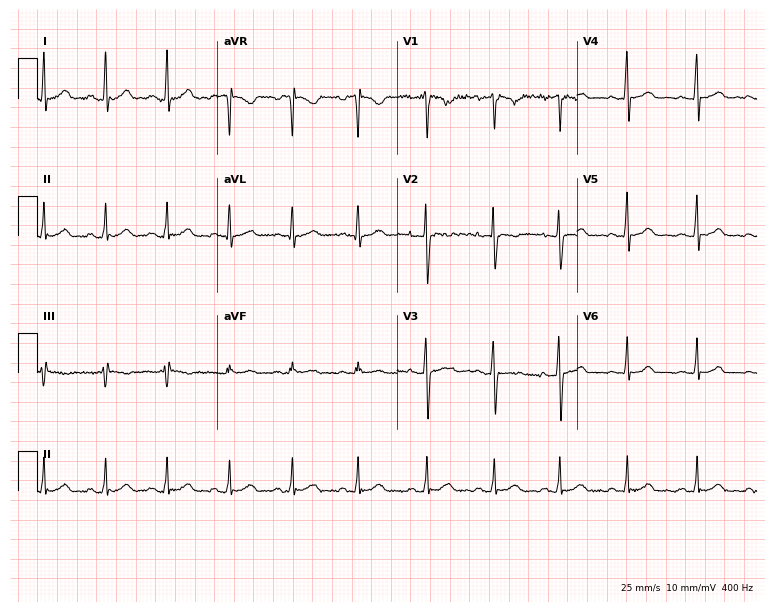
Standard 12-lead ECG recorded from a 33-year-old female. Read as a normal ECG.